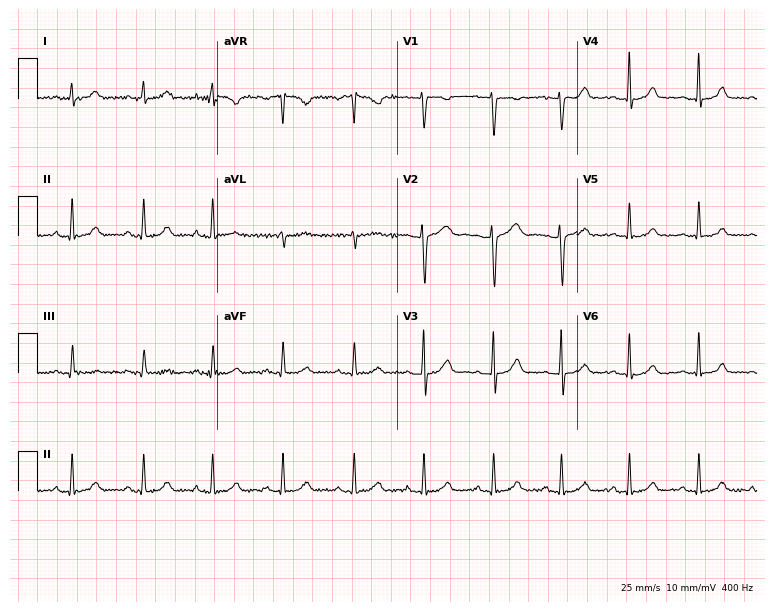
Resting 12-lead electrocardiogram (7.3-second recording at 400 Hz). Patient: a 29-year-old woman. Read as a normal ECG.